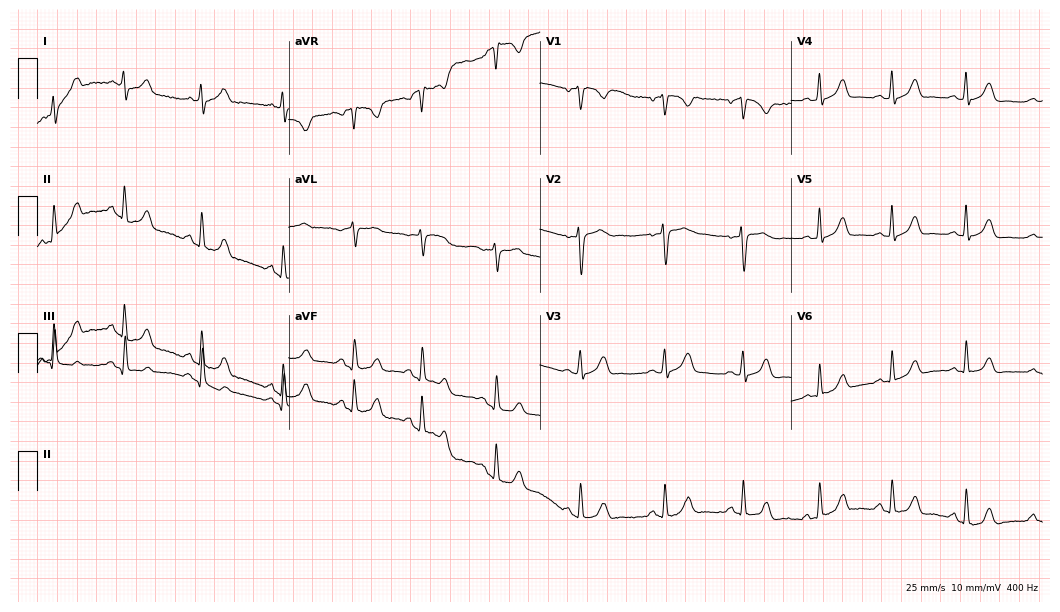
Standard 12-lead ECG recorded from a female patient, 21 years old. Read as a normal ECG.